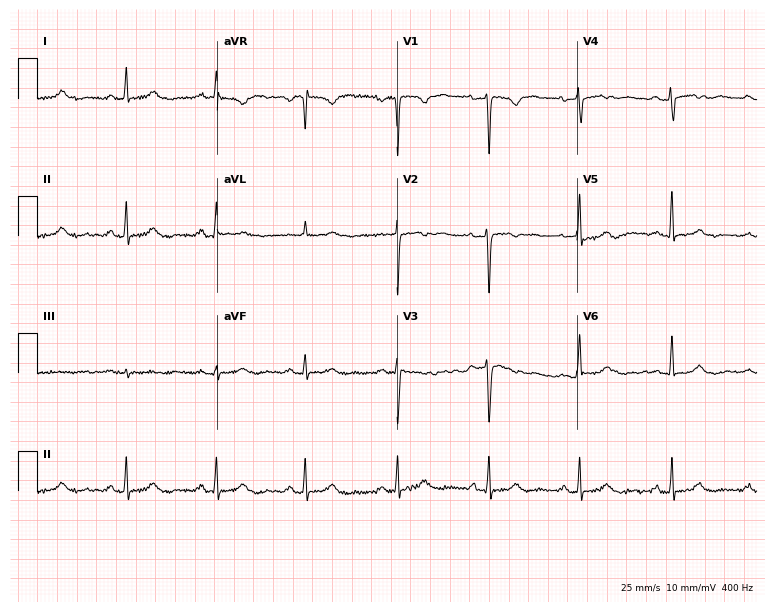
Standard 12-lead ECG recorded from a woman, 48 years old. None of these six findings is recorded: first-degree AV block, right bundle branch block, left bundle branch block, sinus bradycardia, atrial fibrillation, sinus tachycardia. Other findings, if any, are not listed.